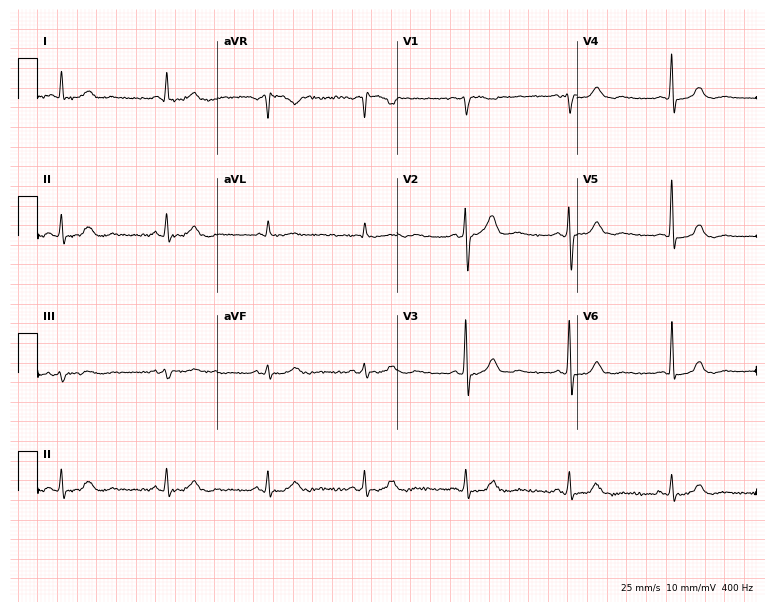
12-lead ECG from a male, 56 years old. No first-degree AV block, right bundle branch block, left bundle branch block, sinus bradycardia, atrial fibrillation or sinus tachycardia recorded for this tracing. Only these six findings were labelled.